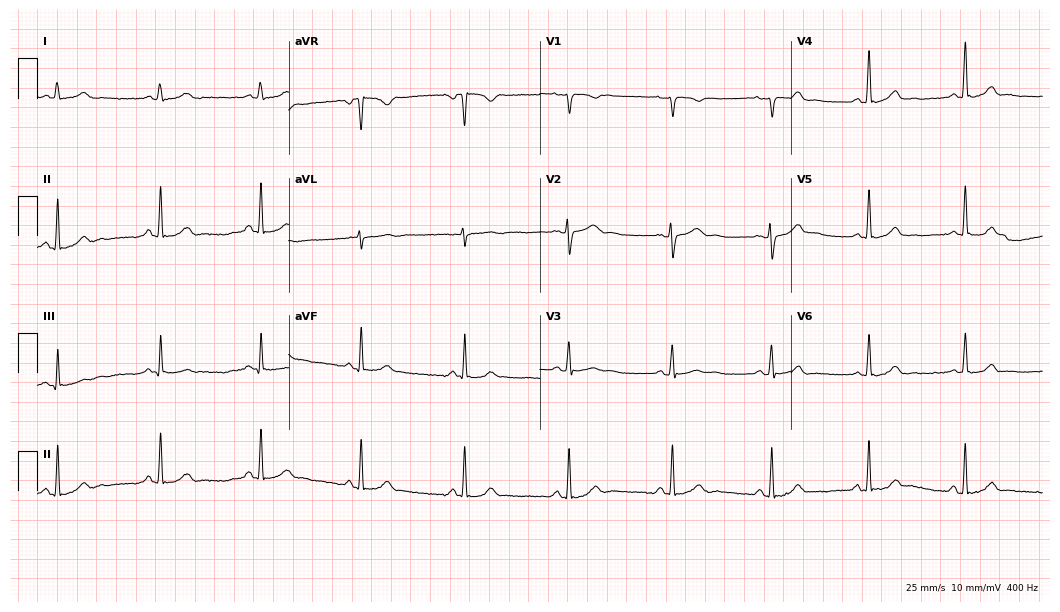
12-lead ECG from a 19-year-old female. Labelled as a normal ECG.